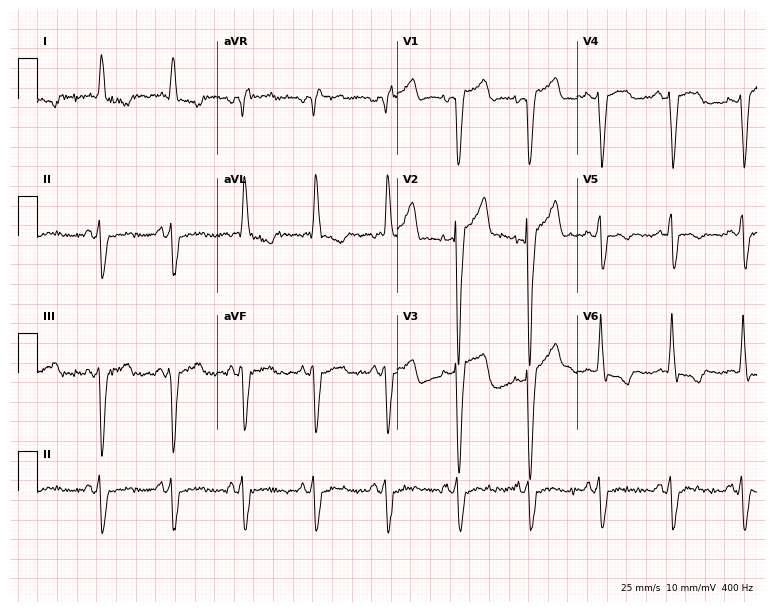
Standard 12-lead ECG recorded from a man, 84 years old. None of these six findings is recorded: first-degree AV block, right bundle branch block, left bundle branch block, sinus bradycardia, atrial fibrillation, sinus tachycardia. Only these six findings were labelled.